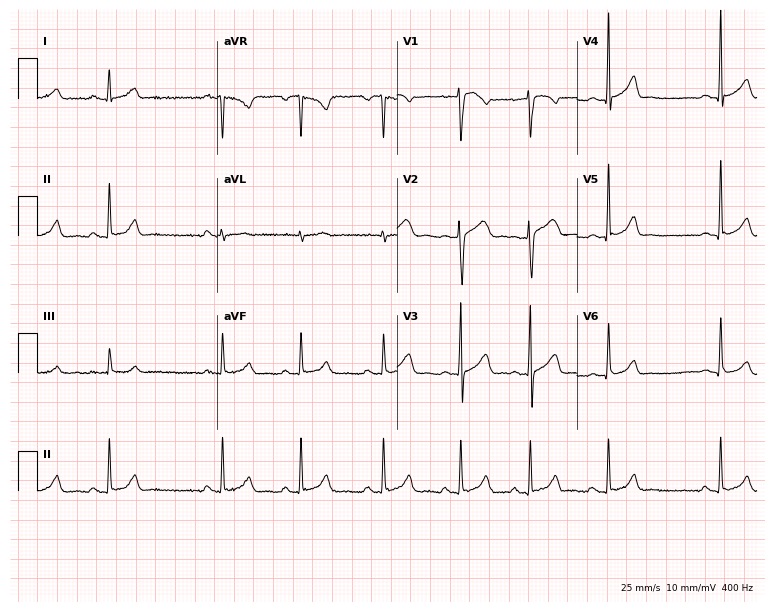
Electrocardiogram (7.3-second recording at 400 Hz), a woman, 20 years old. Of the six screened findings (first-degree AV block, right bundle branch block, left bundle branch block, sinus bradycardia, atrial fibrillation, sinus tachycardia), none is recorded. Other findings, if any, are not listed.